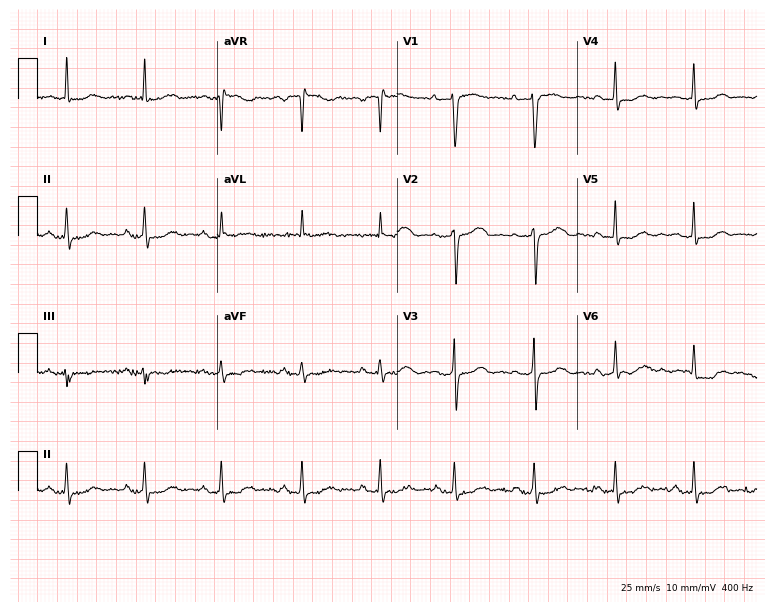
12-lead ECG (7.3-second recording at 400 Hz) from a 68-year-old woman. Screened for six findings — first-degree AV block, right bundle branch block, left bundle branch block, sinus bradycardia, atrial fibrillation, sinus tachycardia — none is recorded. Other findings, if any, are not listed.